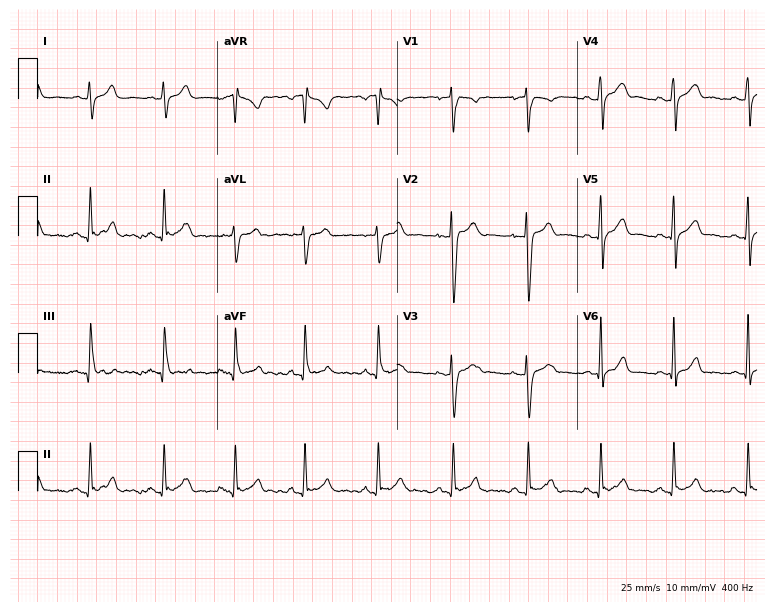
12-lead ECG from a 20-year-old man. Labelled as a normal ECG.